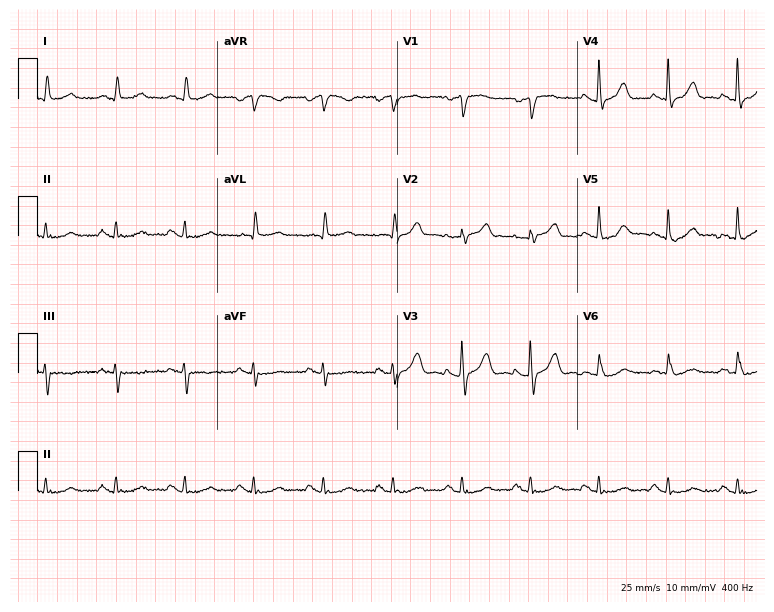
12-lead ECG from a 74-year-old male patient. Recorded interpretation: within normal limits.